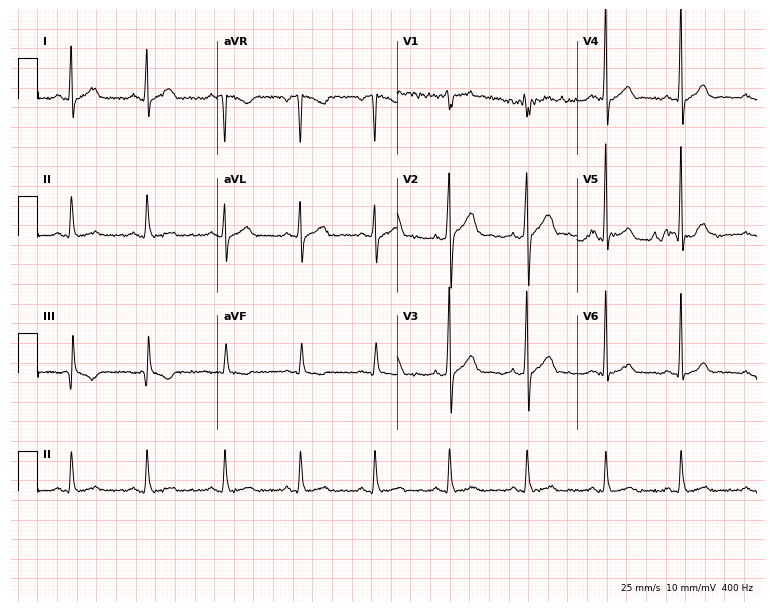
Resting 12-lead electrocardiogram. Patient: a 26-year-old man. None of these six findings is recorded: first-degree AV block, right bundle branch block, left bundle branch block, sinus bradycardia, atrial fibrillation, sinus tachycardia. Only these six findings were labelled.